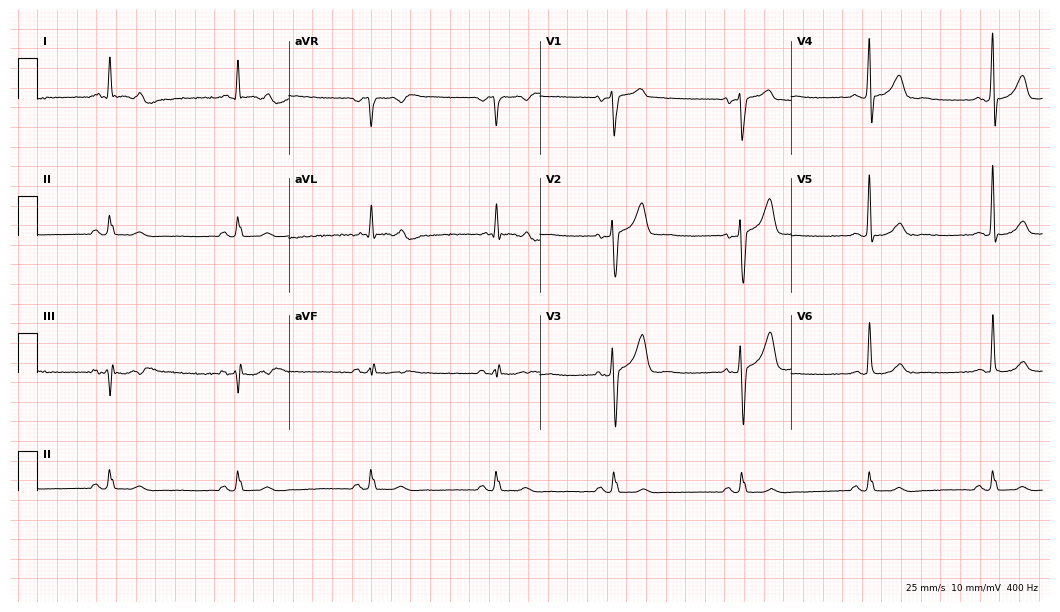
12-lead ECG from a 64-year-old male. Shows sinus bradycardia (a sinus rate of 50 beats per minute or less).